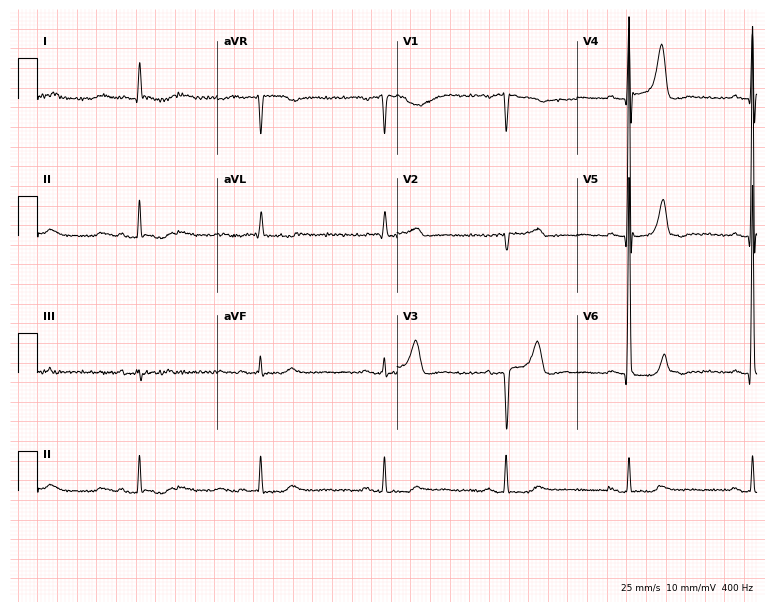
ECG — a male patient, 74 years old. Findings include sinus bradycardia (a sinus rate of 50 beats per minute or less).